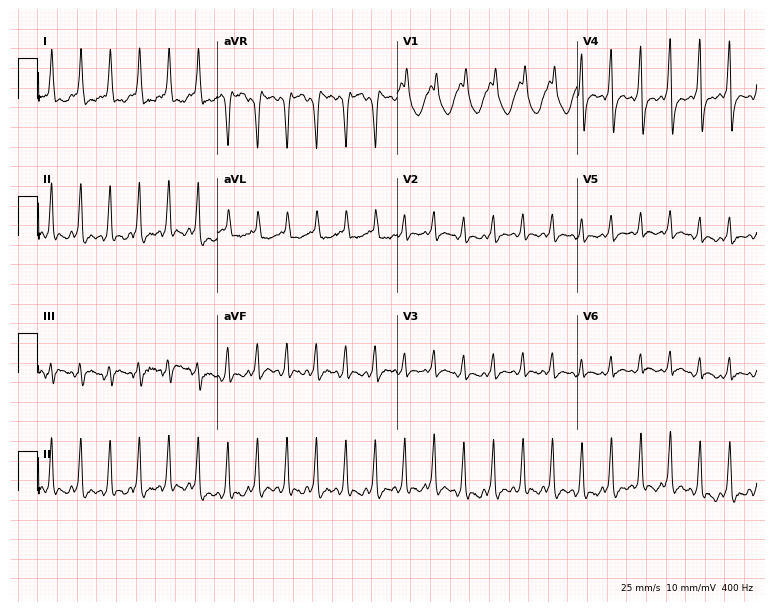
ECG (7.3-second recording at 400 Hz) — a female, 83 years old. Screened for six findings — first-degree AV block, right bundle branch block, left bundle branch block, sinus bradycardia, atrial fibrillation, sinus tachycardia — none is recorded.